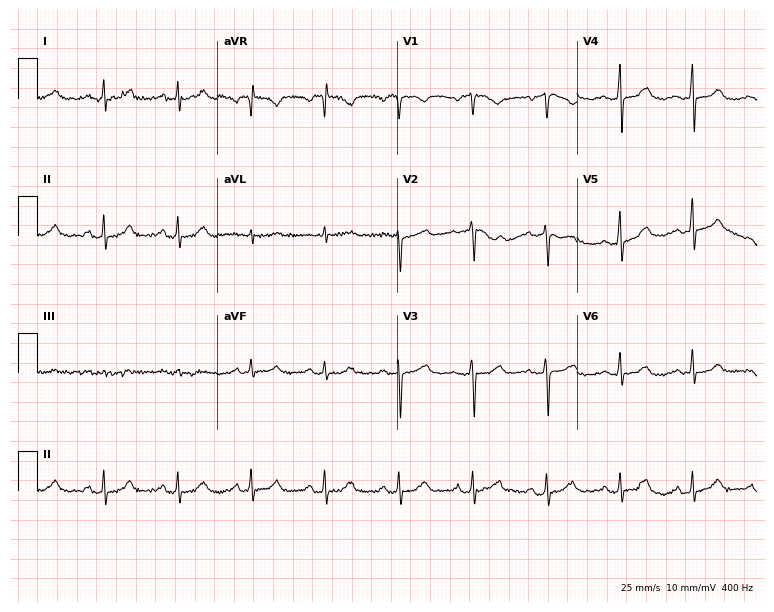
Standard 12-lead ECG recorded from a man, 52 years old (7.3-second recording at 400 Hz). Read as a normal ECG.